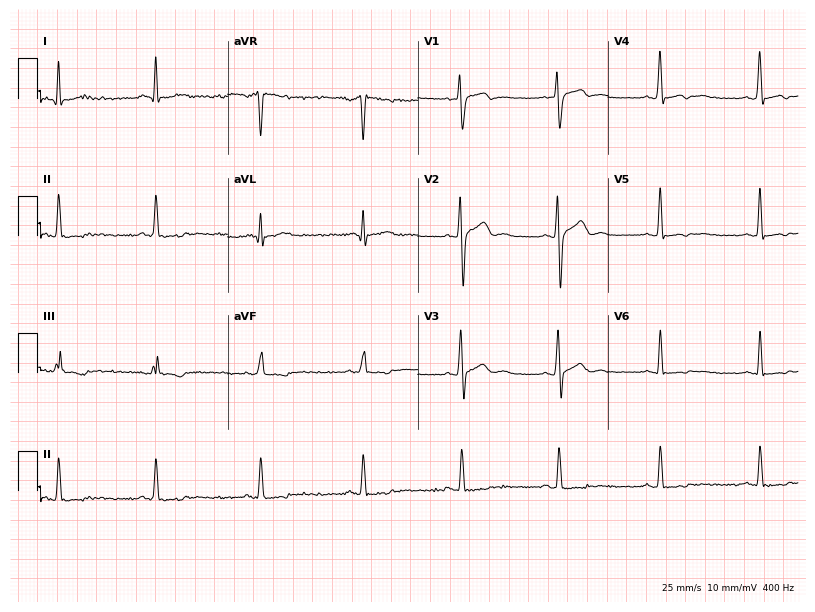
Electrocardiogram (7.8-second recording at 400 Hz), a 24-year-old man. Of the six screened findings (first-degree AV block, right bundle branch block, left bundle branch block, sinus bradycardia, atrial fibrillation, sinus tachycardia), none is recorded.